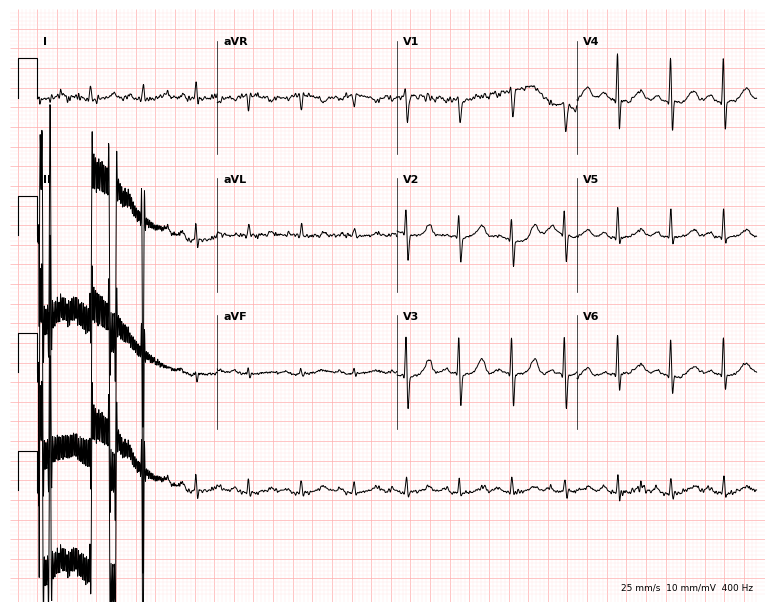
Standard 12-lead ECG recorded from a 72-year-old female patient. The tracing shows sinus tachycardia (a sinus rate of 100 beats per minute or more).